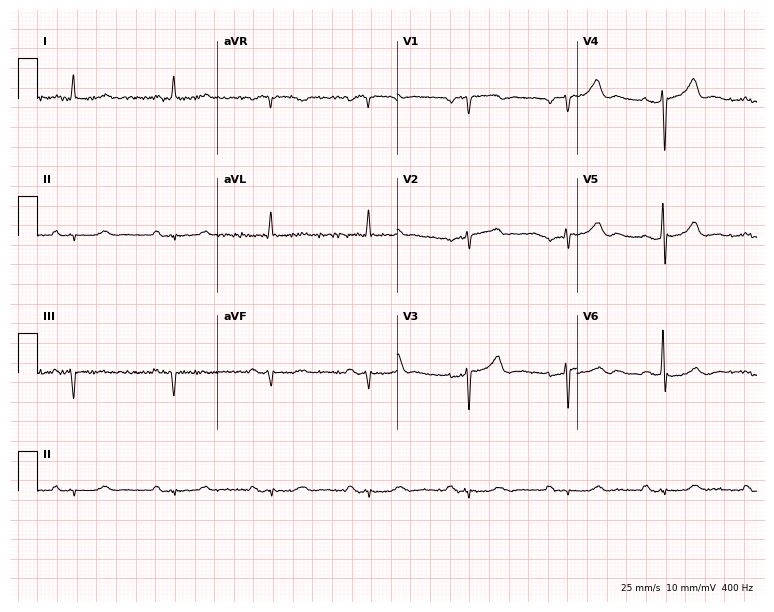
12-lead ECG from an 84-year-old man. Screened for six findings — first-degree AV block, right bundle branch block, left bundle branch block, sinus bradycardia, atrial fibrillation, sinus tachycardia — none is recorded.